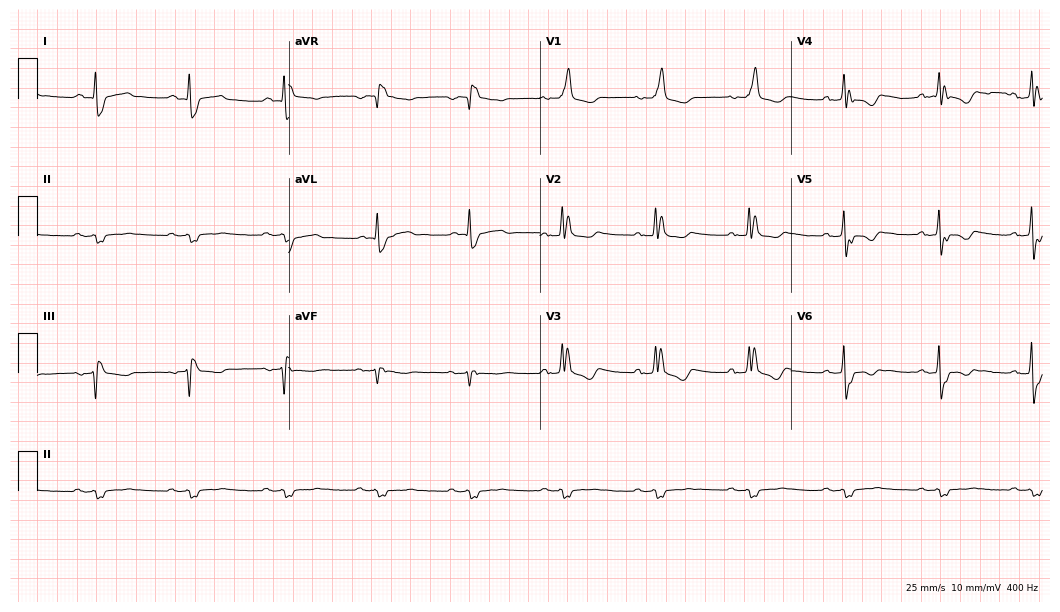
12-lead ECG (10.2-second recording at 400 Hz) from an 80-year-old man. Screened for six findings — first-degree AV block, right bundle branch block (RBBB), left bundle branch block (LBBB), sinus bradycardia, atrial fibrillation (AF), sinus tachycardia — none is recorded. Findings outside these six are not listed.